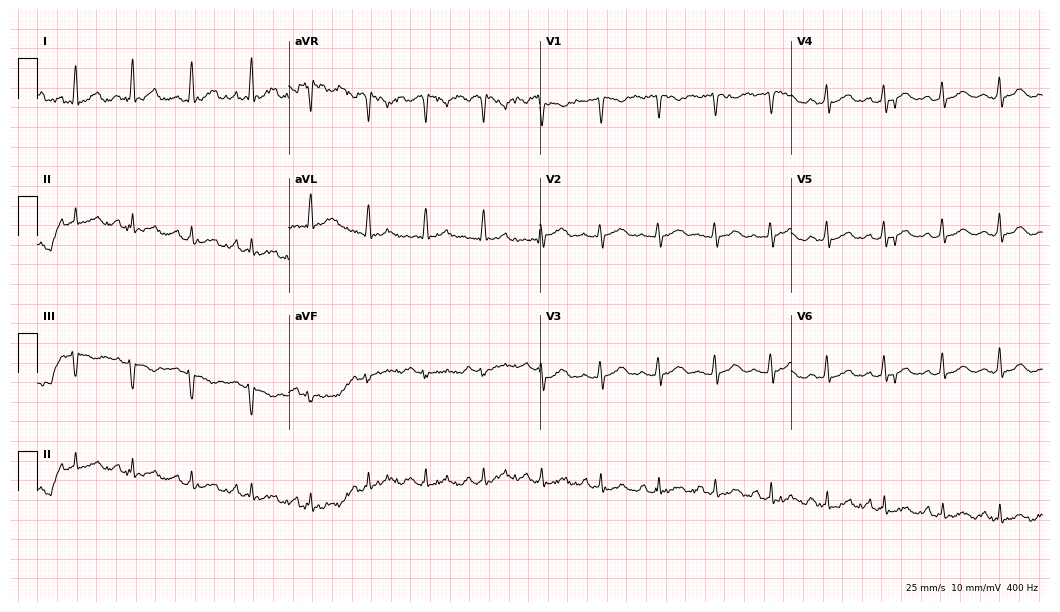
12-lead ECG from a female, 34 years old. Screened for six findings — first-degree AV block, right bundle branch block, left bundle branch block, sinus bradycardia, atrial fibrillation, sinus tachycardia — none is recorded.